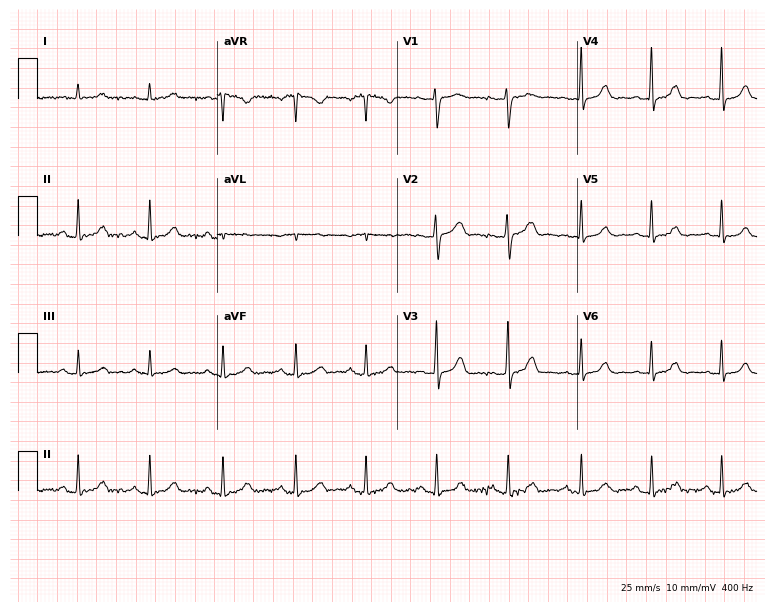
Electrocardiogram (7.3-second recording at 400 Hz), a woman, 40 years old. Of the six screened findings (first-degree AV block, right bundle branch block, left bundle branch block, sinus bradycardia, atrial fibrillation, sinus tachycardia), none is recorded. Findings outside these six are not listed.